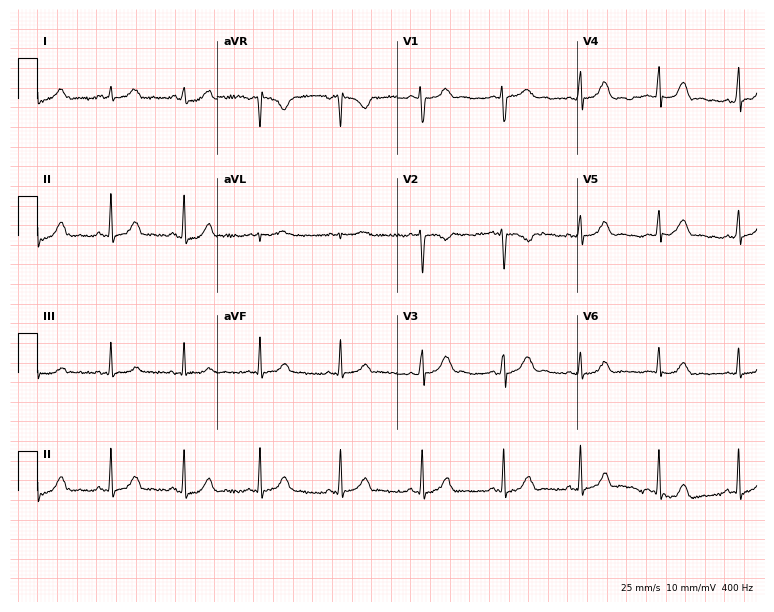
Resting 12-lead electrocardiogram (7.3-second recording at 400 Hz). Patient: a 20-year-old woman. Read as a normal ECG.